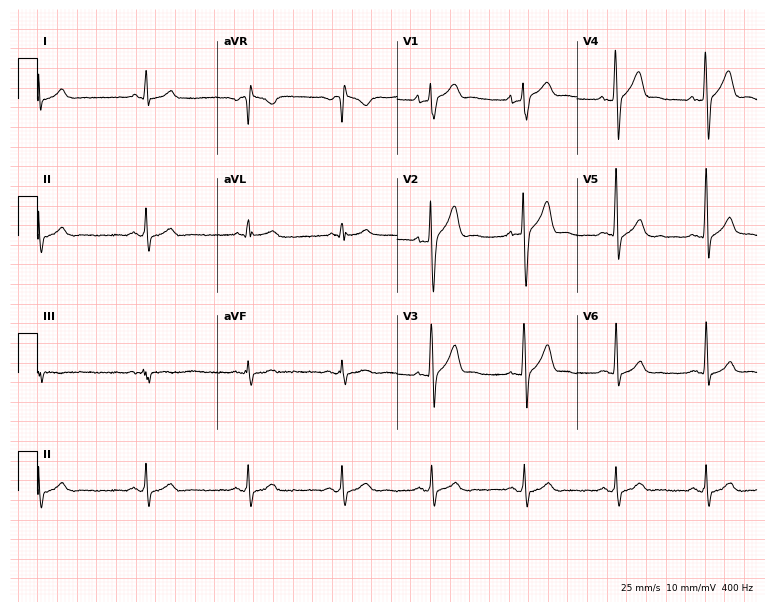
12-lead ECG from a 26-year-old male (7.3-second recording at 400 Hz). Recorded interpretation: within normal limits.